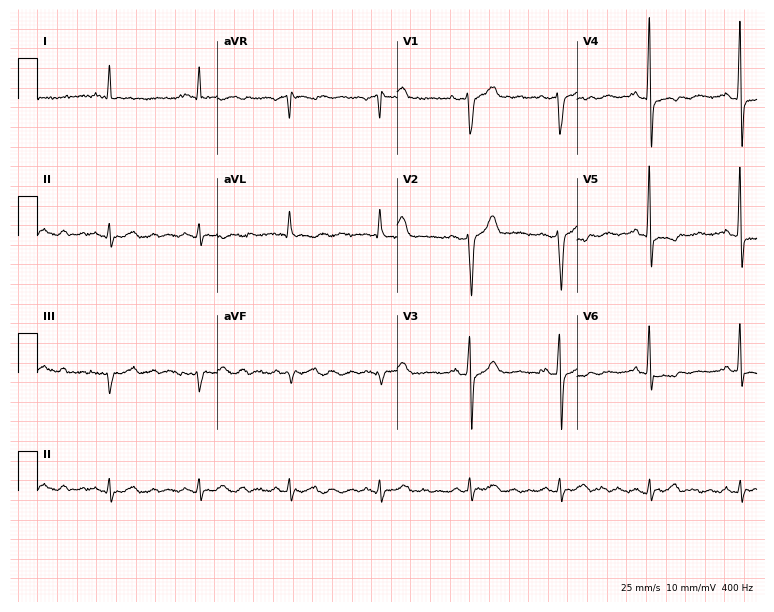
Electrocardiogram (7.3-second recording at 400 Hz), a 67-year-old male patient. Of the six screened findings (first-degree AV block, right bundle branch block (RBBB), left bundle branch block (LBBB), sinus bradycardia, atrial fibrillation (AF), sinus tachycardia), none is recorded.